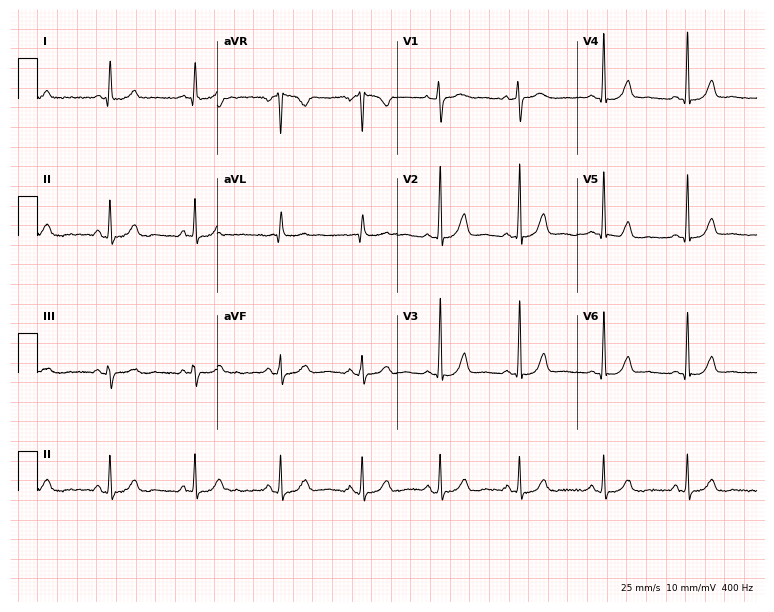
Resting 12-lead electrocardiogram. Patient: a female, 43 years old. Read as a normal ECG.